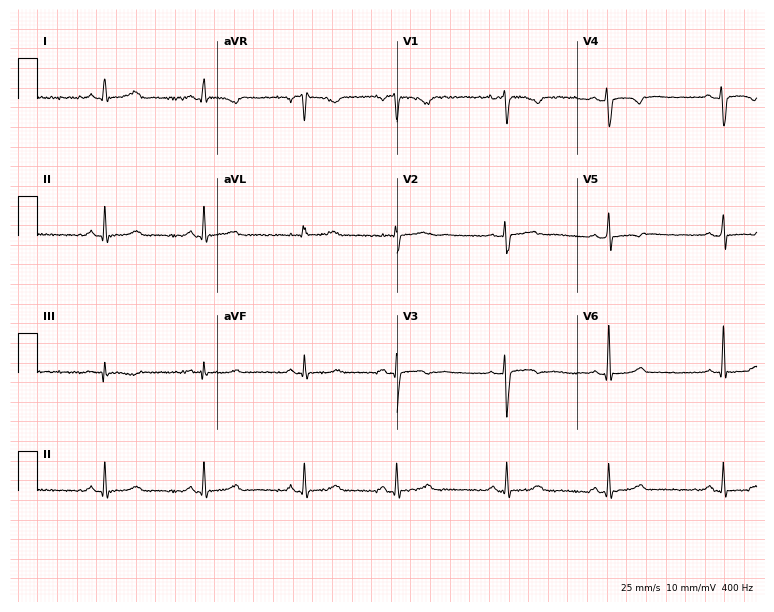
Standard 12-lead ECG recorded from a female, 27 years old (7.3-second recording at 400 Hz). None of these six findings is recorded: first-degree AV block, right bundle branch block (RBBB), left bundle branch block (LBBB), sinus bradycardia, atrial fibrillation (AF), sinus tachycardia.